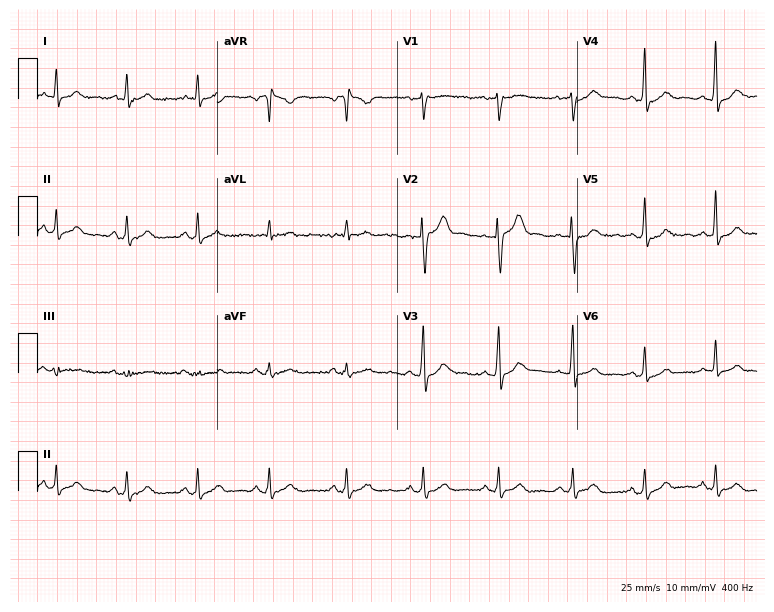
Standard 12-lead ECG recorded from a 38-year-old male (7.3-second recording at 400 Hz). Read as a normal ECG.